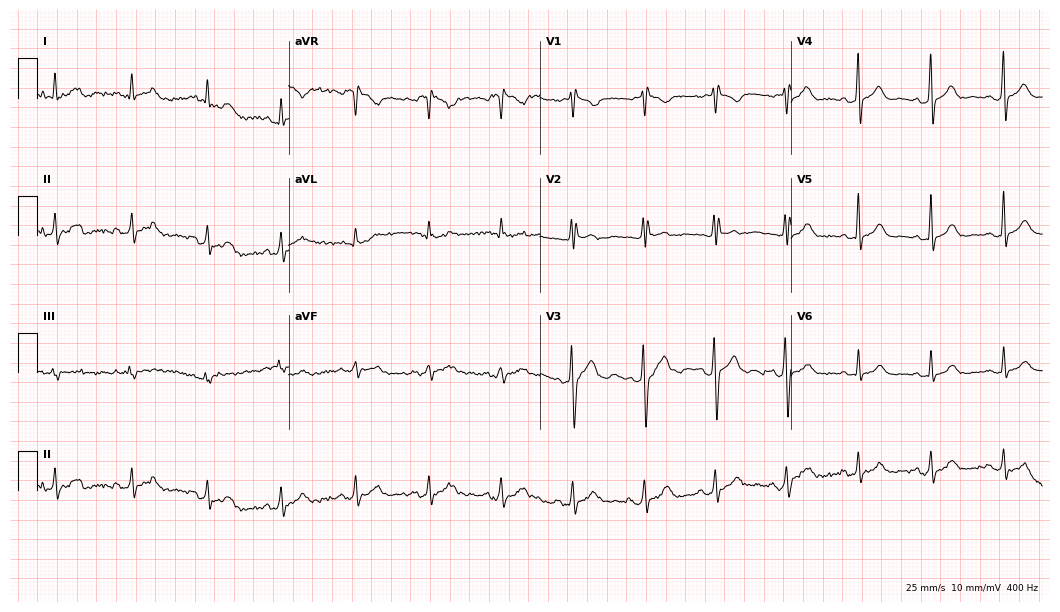
12-lead ECG from a 38-year-old man. No first-degree AV block, right bundle branch block, left bundle branch block, sinus bradycardia, atrial fibrillation or sinus tachycardia recorded for this tracing. Only these six findings were labelled.